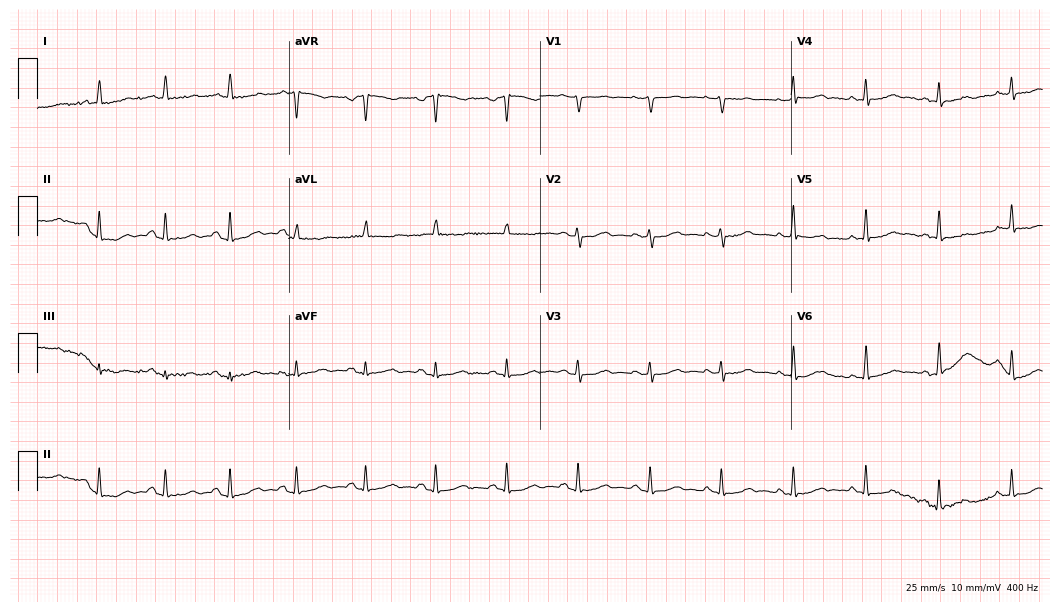
12-lead ECG from a woman, 81 years old. Recorded interpretation: within normal limits.